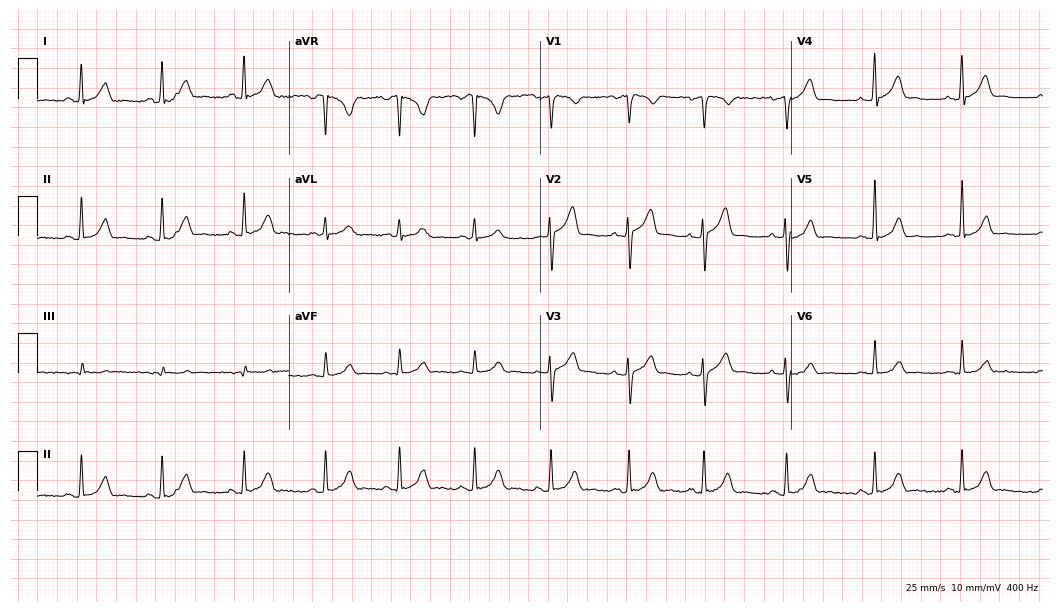
Electrocardiogram (10.2-second recording at 400 Hz), a 33-year-old male patient. Overall reading on record: normal ECG.